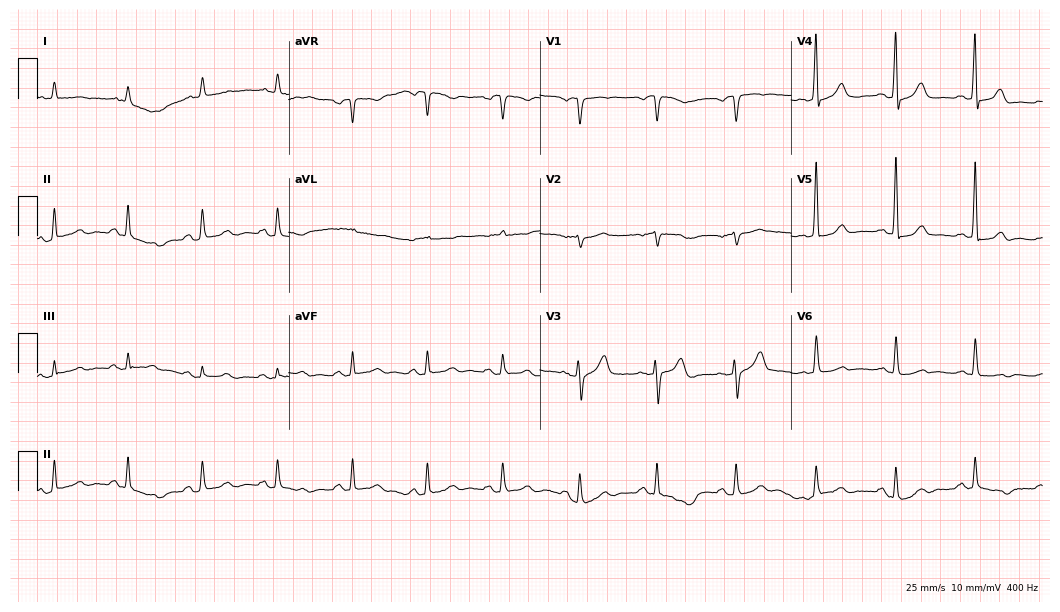
Standard 12-lead ECG recorded from a man, 79 years old (10.2-second recording at 400 Hz). None of these six findings is recorded: first-degree AV block, right bundle branch block, left bundle branch block, sinus bradycardia, atrial fibrillation, sinus tachycardia.